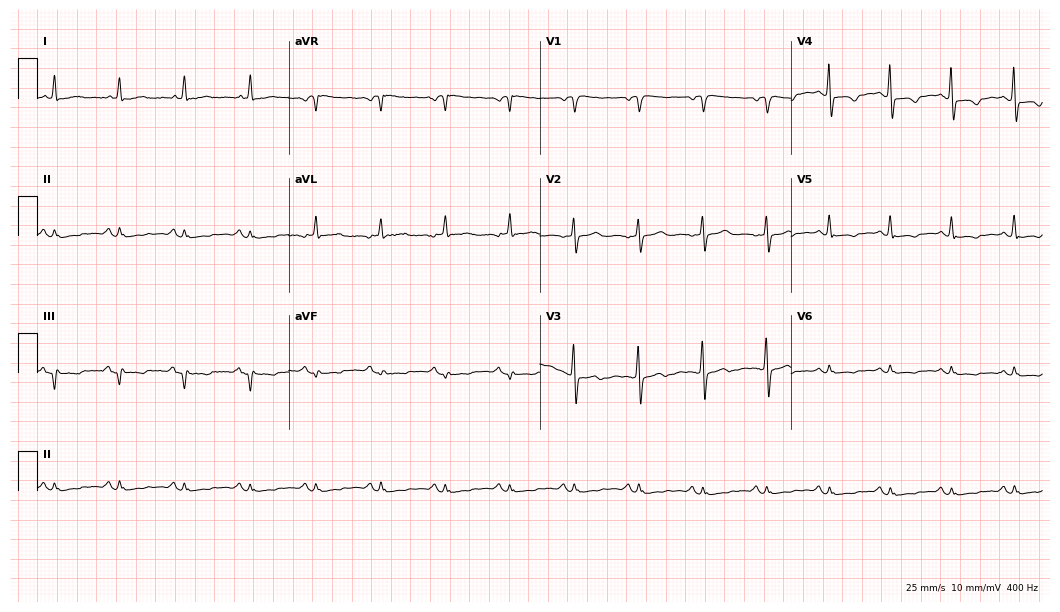
Standard 12-lead ECG recorded from a 61-year-old woman. None of these six findings is recorded: first-degree AV block, right bundle branch block (RBBB), left bundle branch block (LBBB), sinus bradycardia, atrial fibrillation (AF), sinus tachycardia.